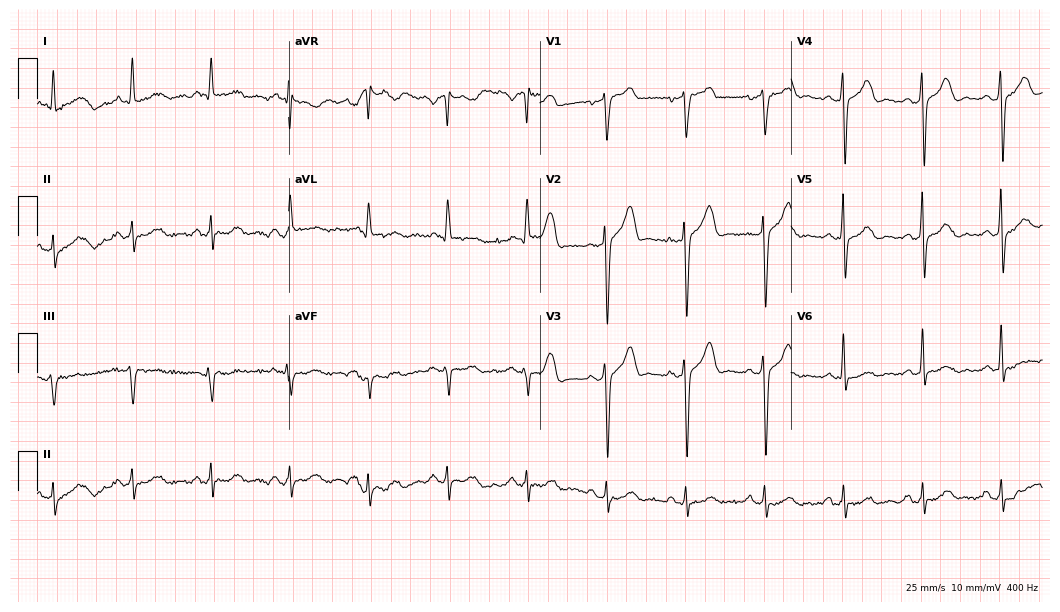
Resting 12-lead electrocardiogram. Patient: a 72-year-old male. Read as a normal ECG.